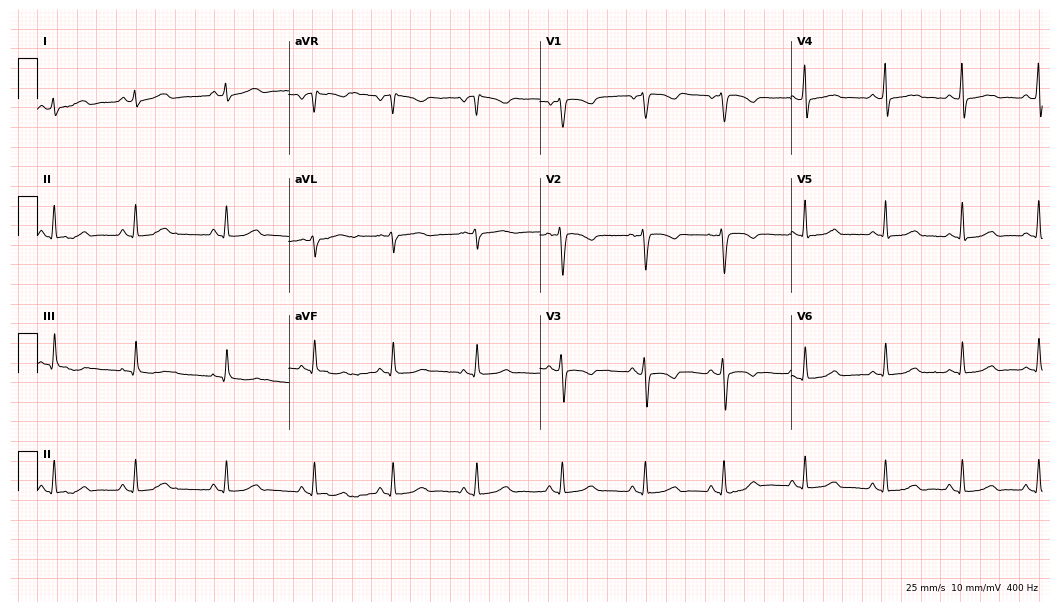
ECG — a female, 24 years old. Screened for six findings — first-degree AV block, right bundle branch block, left bundle branch block, sinus bradycardia, atrial fibrillation, sinus tachycardia — none is recorded. Other findings, if any, are not listed.